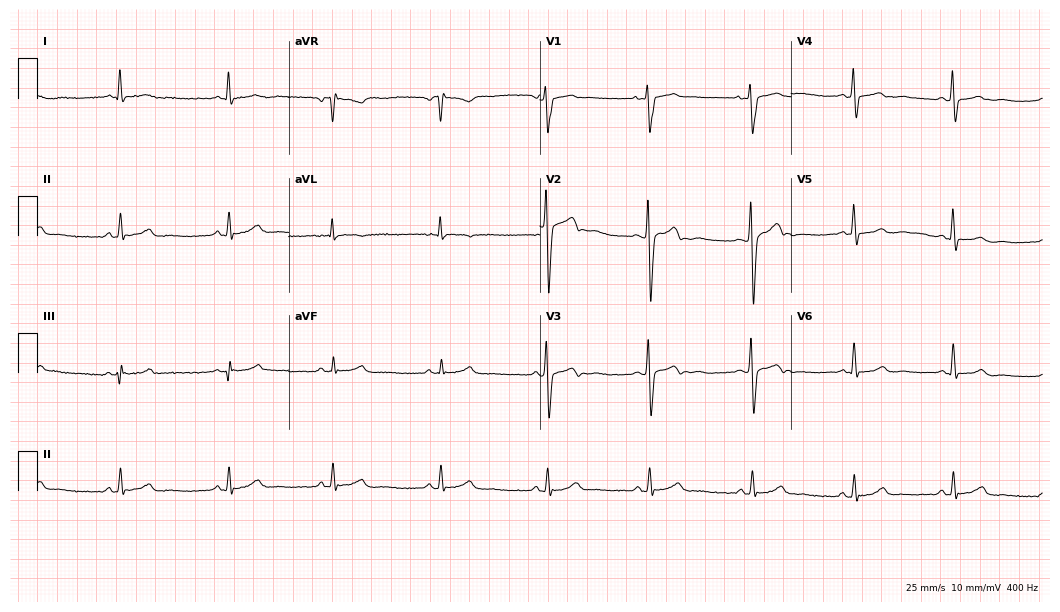
ECG (10.2-second recording at 400 Hz) — a man, 40 years old. Screened for six findings — first-degree AV block, right bundle branch block, left bundle branch block, sinus bradycardia, atrial fibrillation, sinus tachycardia — none is recorded.